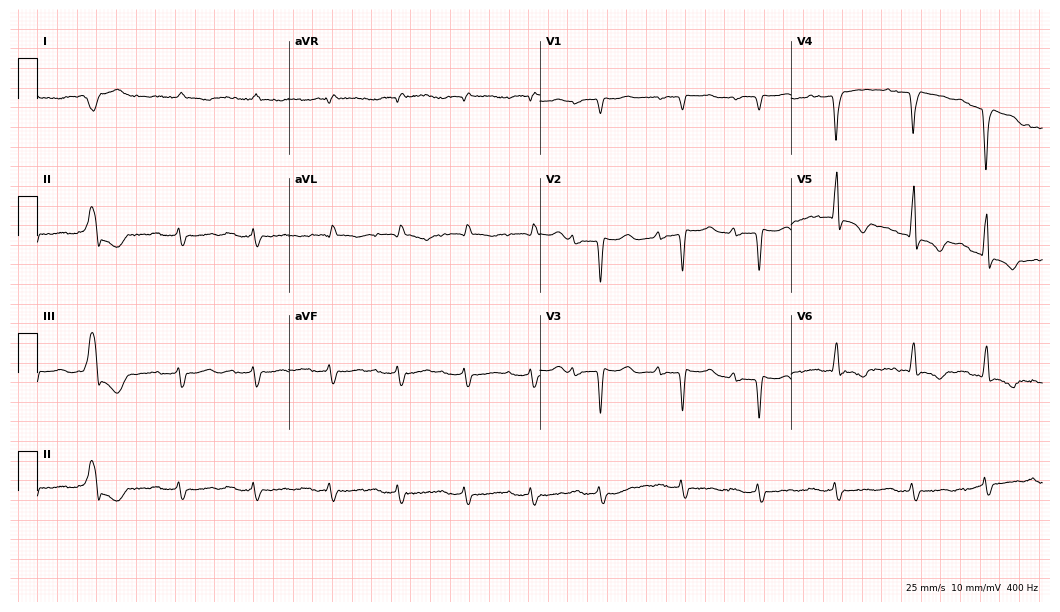
12-lead ECG from a 58-year-old male (10.2-second recording at 400 Hz). No first-degree AV block, right bundle branch block, left bundle branch block, sinus bradycardia, atrial fibrillation or sinus tachycardia recorded for this tracing. Only these six findings were labelled.